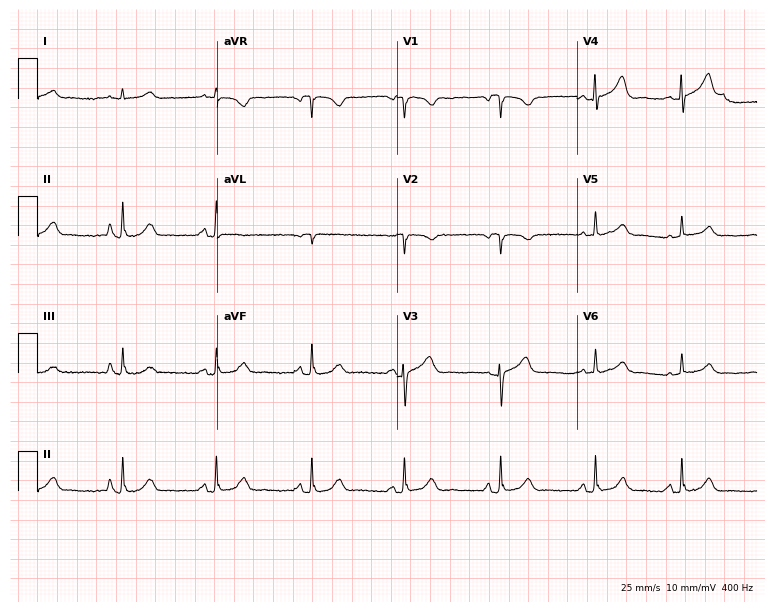
Electrocardiogram, a male, 61 years old. Of the six screened findings (first-degree AV block, right bundle branch block, left bundle branch block, sinus bradycardia, atrial fibrillation, sinus tachycardia), none is recorded. Findings outside these six are not listed.